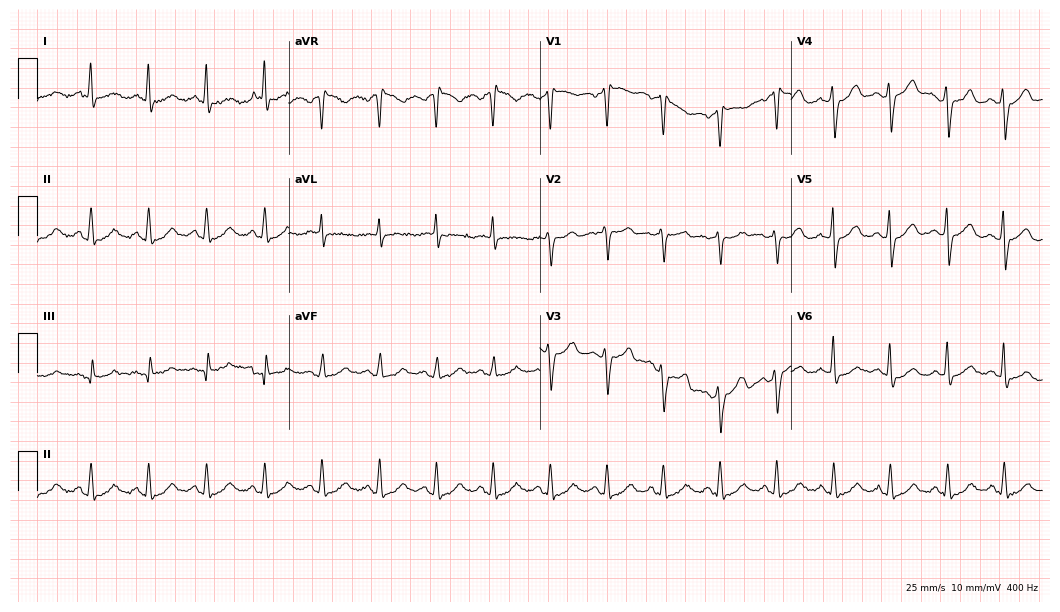
12-lead ECG (10.2-second recording at 400 Hz) from a 63-year-old male. Findings include sinus tachycardia (a sinus rate of 100 beats per minute or more).